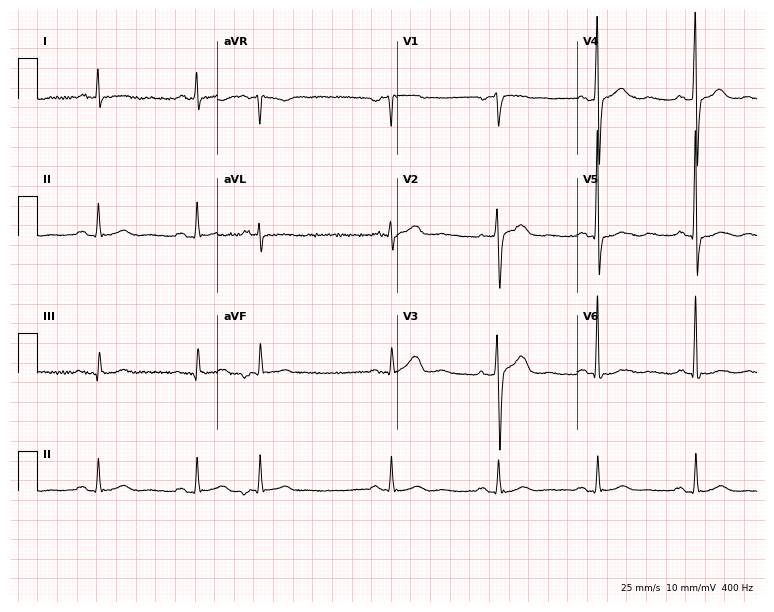
Standard 12-lead ECG recorded from a man, 69 years old (7.3-second recording at 400 Hz). None of these six findings is recorded: first-degree AV block, right bundle branch block (RBBB), left bundle branch block (LBBB), sinus bradycardia, atrial fibrillation (AF), sinus tachycardia.